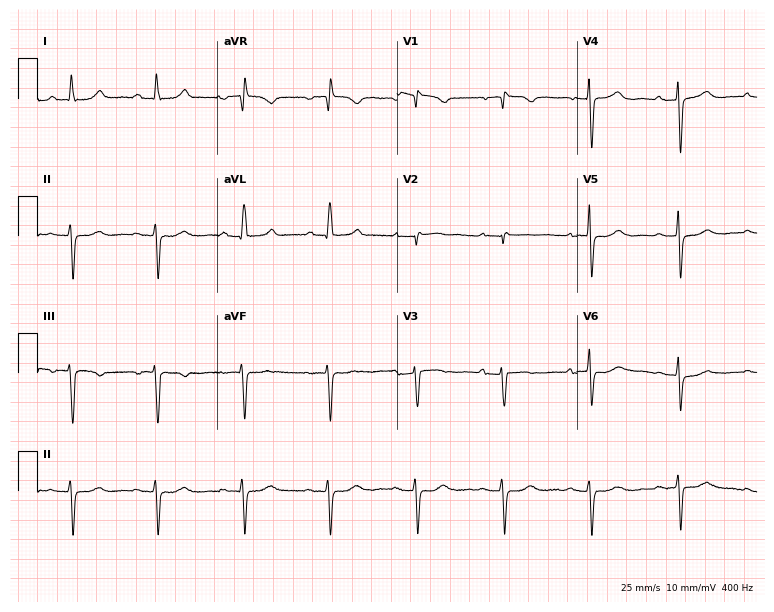
ECG — an 84-year-old female. Screened for six findings — first-degree AV block, right bundle branch block, left bundle branch block, sinus bradycardia, atrial fibrillation, sinus tachycardia — none is recorded. Other findings, if any, are not listed.